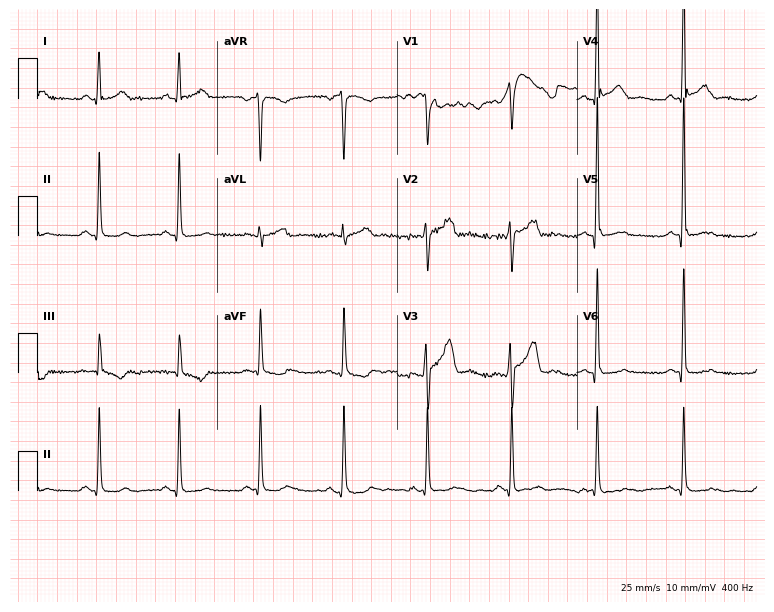
12-lead ECG from a 41-year-old man (7.3-second recording at 400 Hz). No first-degree AV block, right bundle branch block, left bundle branch block, sinus bradycardia, atrial fibrillation or sinus tachycardia recorded for this tracing.